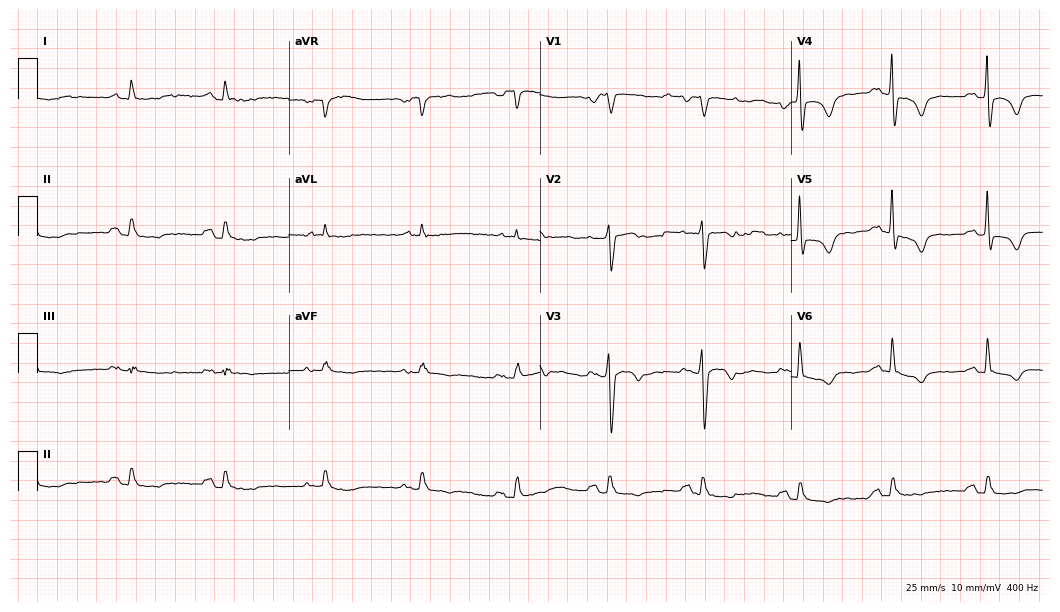
Electrocardiogram (10.2-second recording at 400 Hz), a man, 77 years old. Of the six screened findings (first-degree AV block, right bundle branch block (RBBB), left bundle branch block (LBBB), sinus bradycardia, atrial fibrillation (AF), sinus tachycardia), none is recorded.